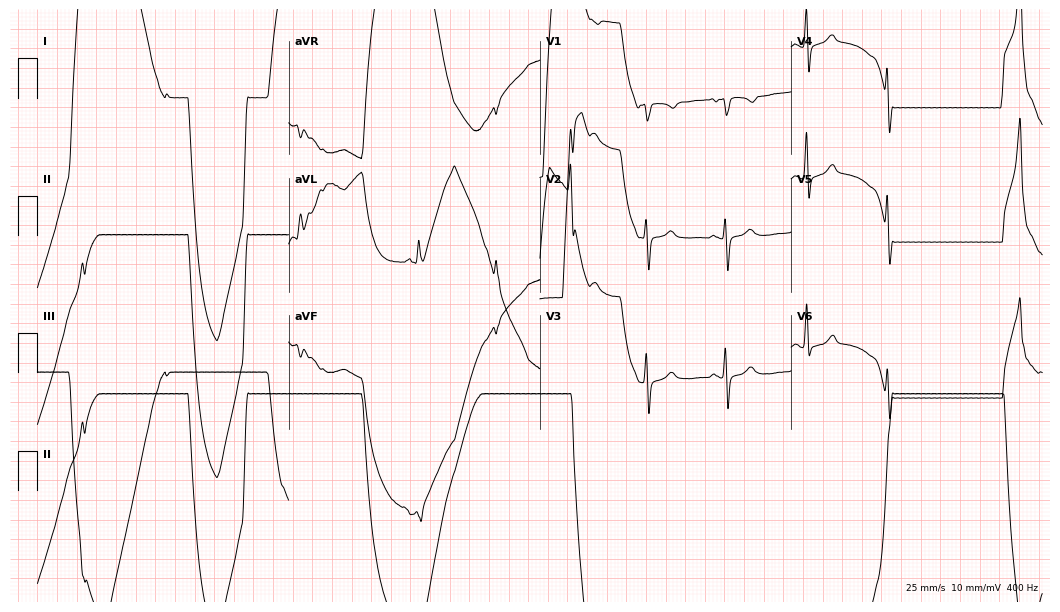
Standard 12-lead ECG recorded from a female, 66 years old (10.2-second recording at 400 Hz). None of these six findings is recorded: first-degree AV block, right bundle branch block, left bundle branch block, sinus bradycardia, atrial fibrillation, sinus tachycardia.